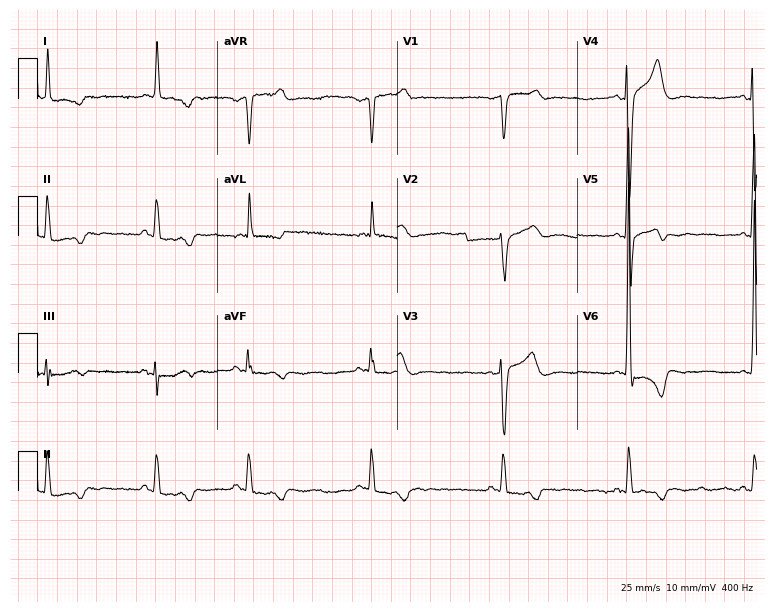
Standard 12-lead ECG recorded from a man, 74 years old (7.3-second recording at 400 Hz). The tracing shows sinus bradycardia (a sinus rate of 50 beats per minute or less).